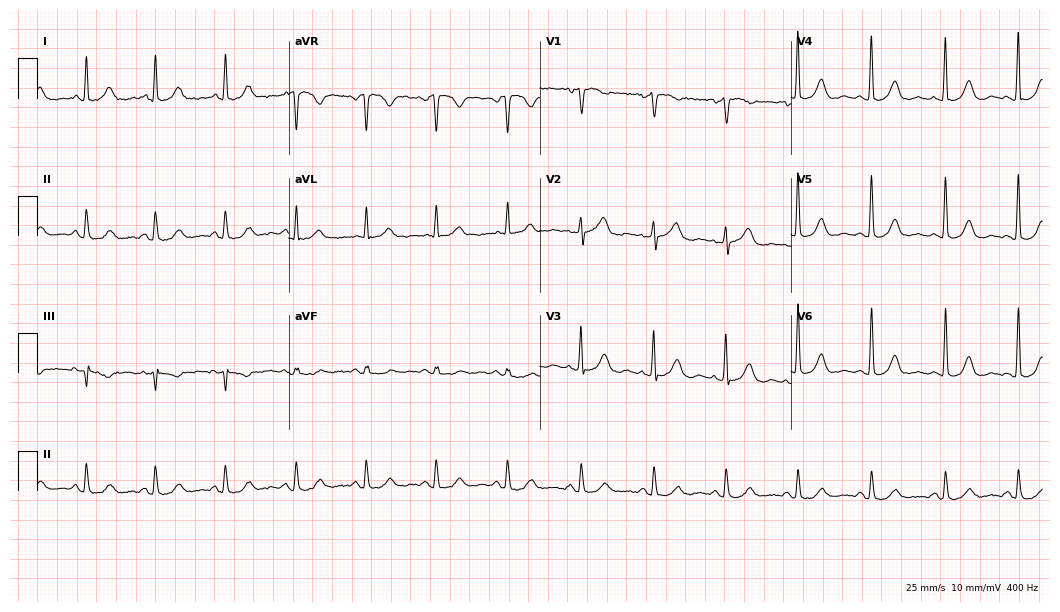
Standard 12-lead ECG recorded from a 54-year-old female. None of these six findings is recorded: first-degree AV block, right bundle branch block, left bundle branch block, sinus bradycardia, atrial fibrillation, sinus tachycardia.